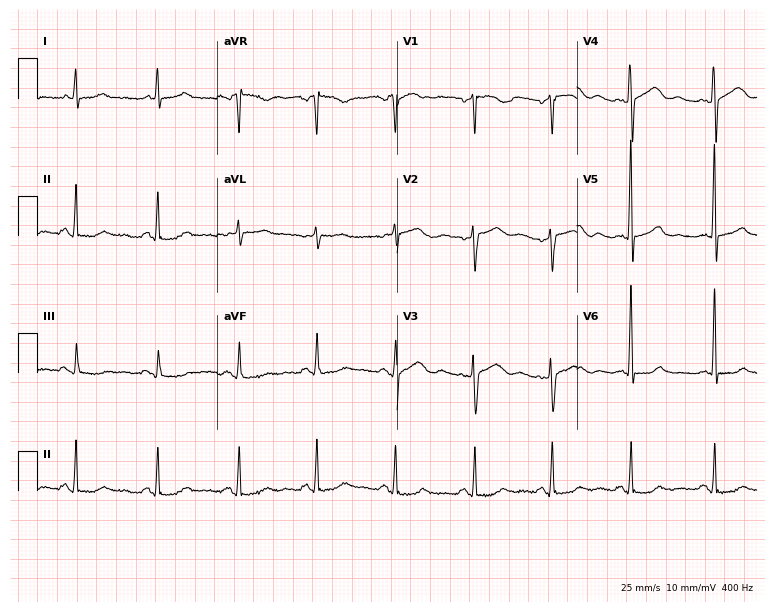
Resting 12-lead electrocardiogram (7.3-second recording at 400 Hz). Patient: a woman, 57 years old. None of these six findings is recorded: first-degree AV block, right bundle branch block (RBBB), left bundle branch block (LBBB), sinus bradycardia, atrial fibrillation (AF), sinus tachycardia.